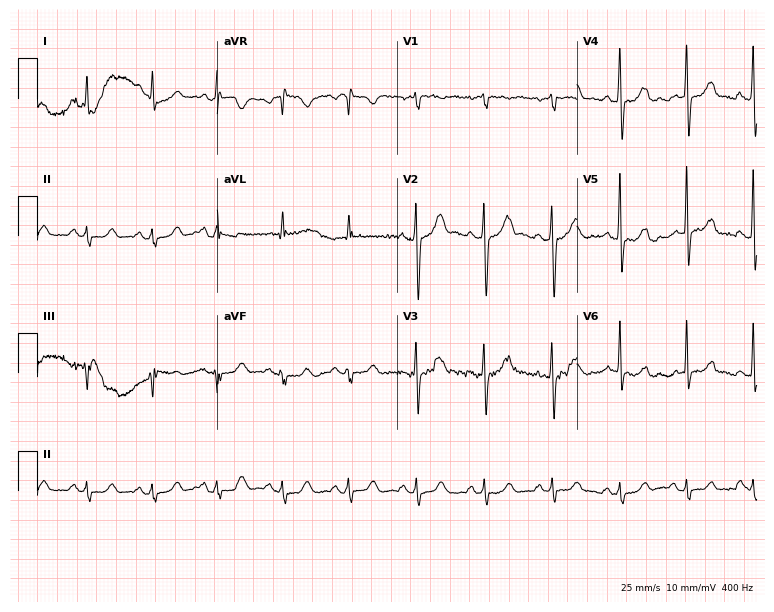
Resting 12-lead electrocardiogram (7.3-second recording at 400 Hz). Patient: a 52-year-old male. Read as a normal ECG.